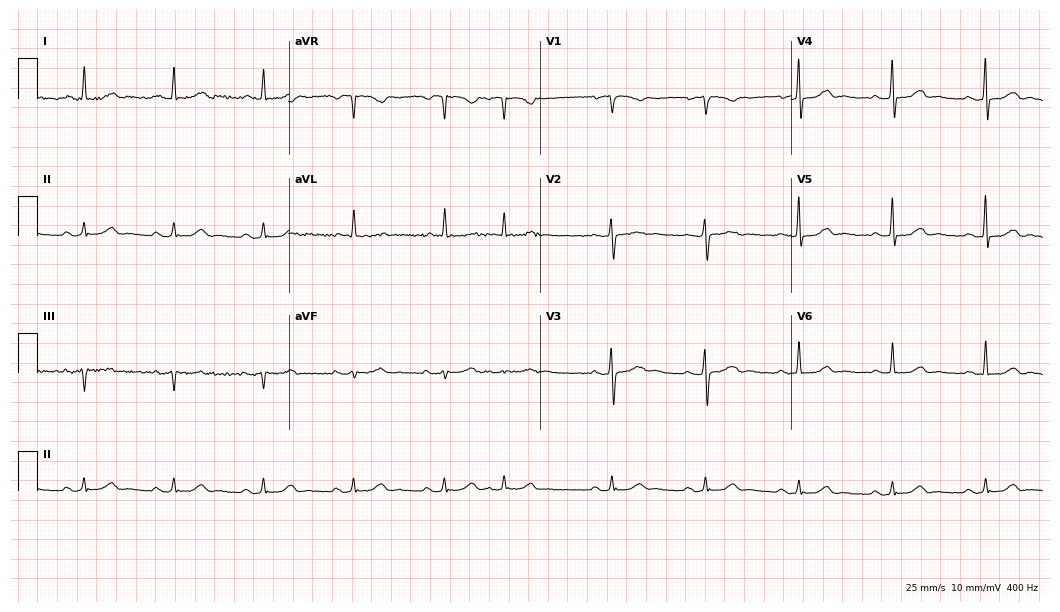
ECG (10.2-second recording at 400 Hz) — a 67-year-old female. Screened for six findings — first-degree AV block, right bundle branch block, left bundle branch block, sinus bradycardia, atrial fibrillation, sinus tachycardia — none is recorded.